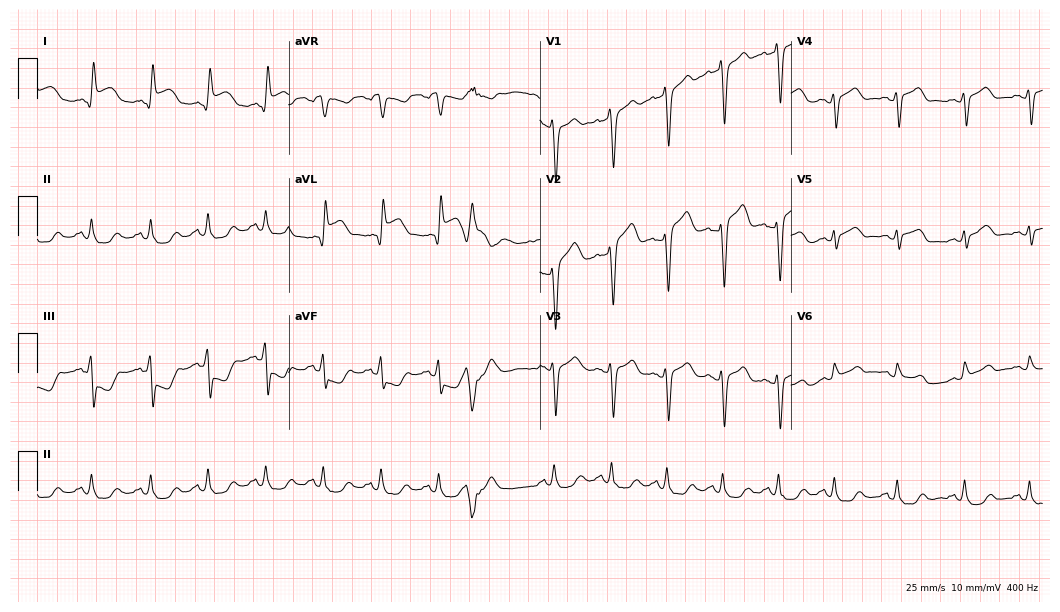
Standard 12-lead ECG recorded from a woman, 53 years old (10.2-second recording at 400 Hz). None of these six findings is recorded: first-degree AV block, right bundle branch block (RBBB), left bundle branch block (LBBB), sinus bradycardia, atrial fibrillation (AF), sinus tachycardia. Only these six findings were labelled.